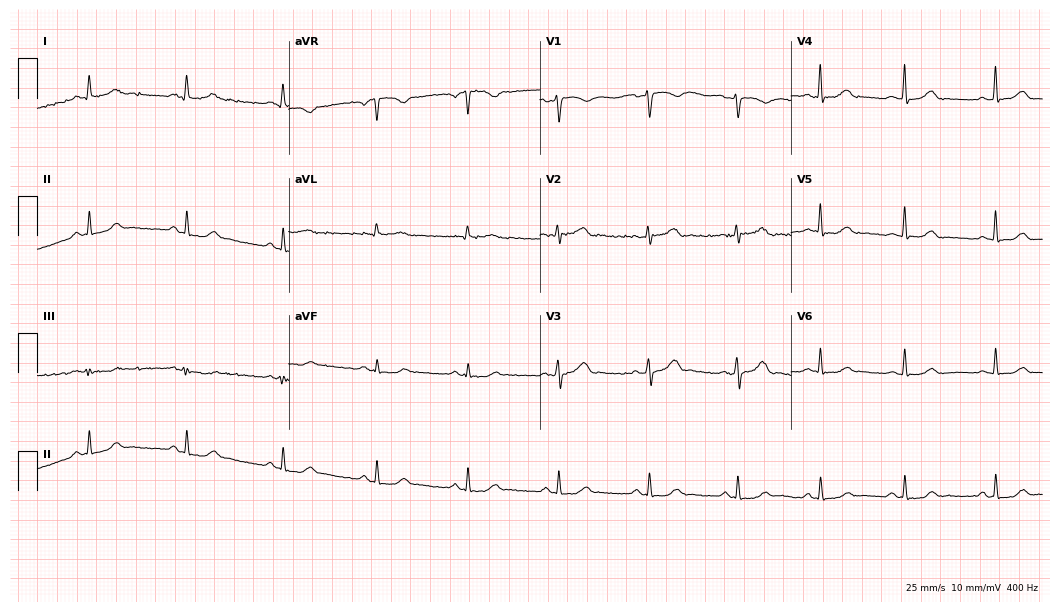
12-lead ECG (10.2-second recording at 400 Hz) from a 31-year-old female patient. Screened for six findings — first-degree AV block, right bundle branch block, left bundle branch block, sinus bradycardia, atrial fibrillation, sinus tachycardia — none is recorded. Only these six findings were labelled.